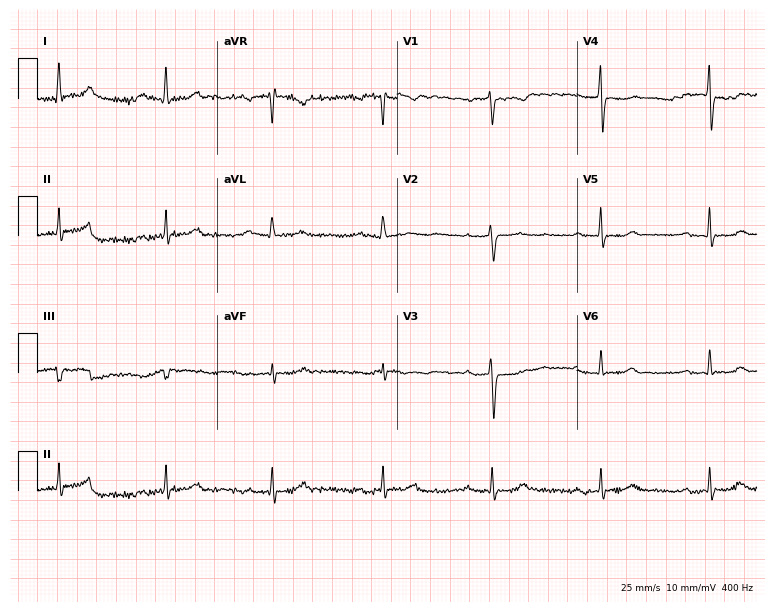
ECG — a 59-year-old female patient. Findings include first-degree AV block.